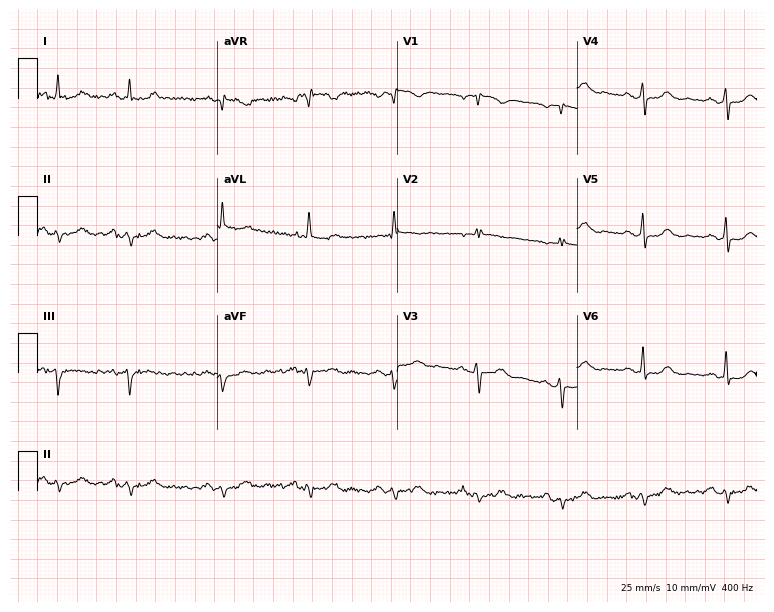
Standard 12-lead ECG recorded from a 72-year-old woman (7.3-second recording at 400 Hz). None of these six findings is recorded: first-degree AV block, right bundle branch block, left bundle branch block, sinus bradycardia, atrial fibrillation, sinus tachycardia.